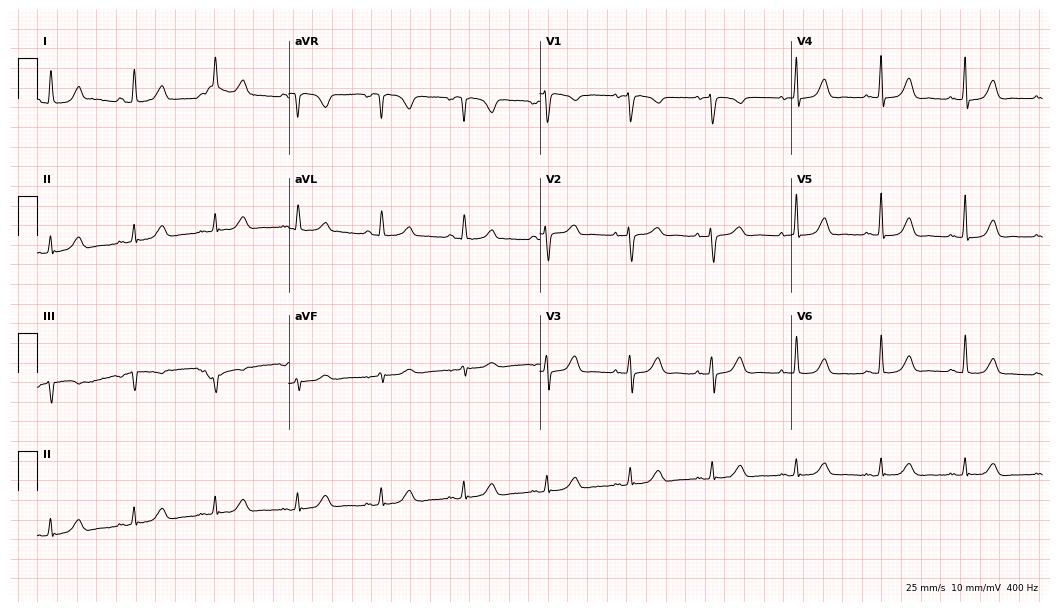
12-lead ECG (10.2-second recording at 400 Hz) from a 70-year-old woman. Labelled as a normal ECG.